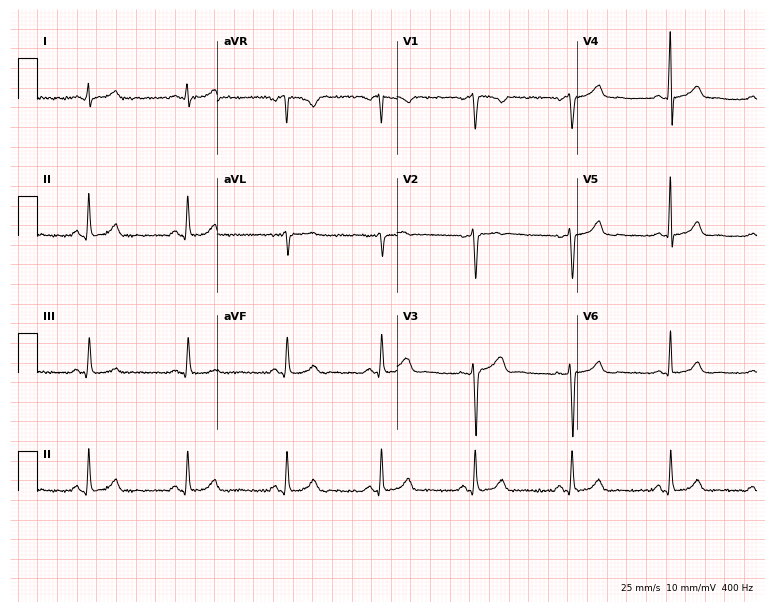
Resting 12-lead electrocardiogram (7.3-second recording at 400 Hz). Patient: a 31-year-old woman. Read as a normal ECG.